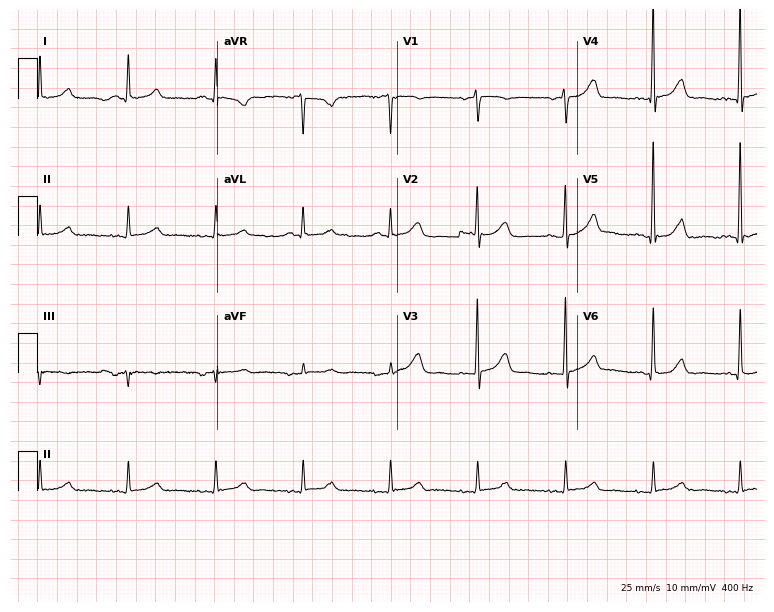
Electrocardiogram, a woman, 62 years old. Overall reading on record: normal ECG.